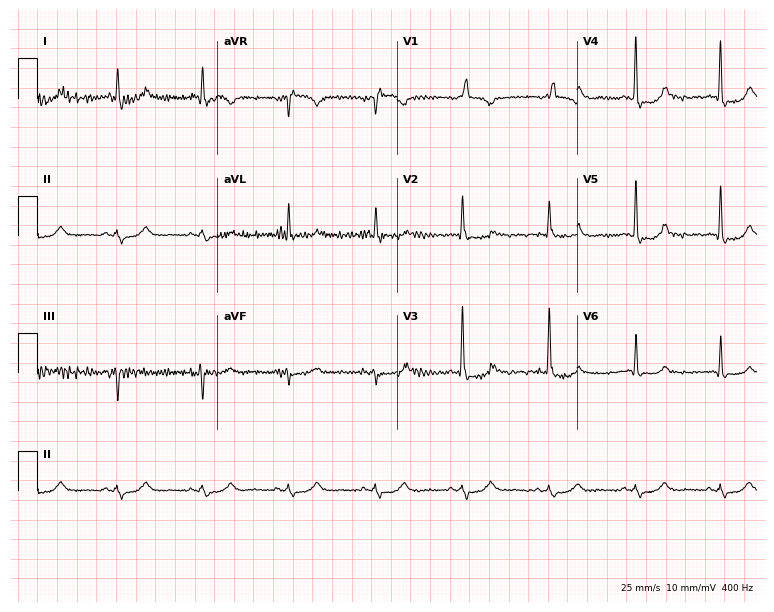
12-lead ECG from a male patient, 63 years old. Screened for six findings — first-degree AV block, right bundle branch block, left bundle branch block, sinus bradycardia, atrial fibrillation, sinus tachycardia — none is recorded.